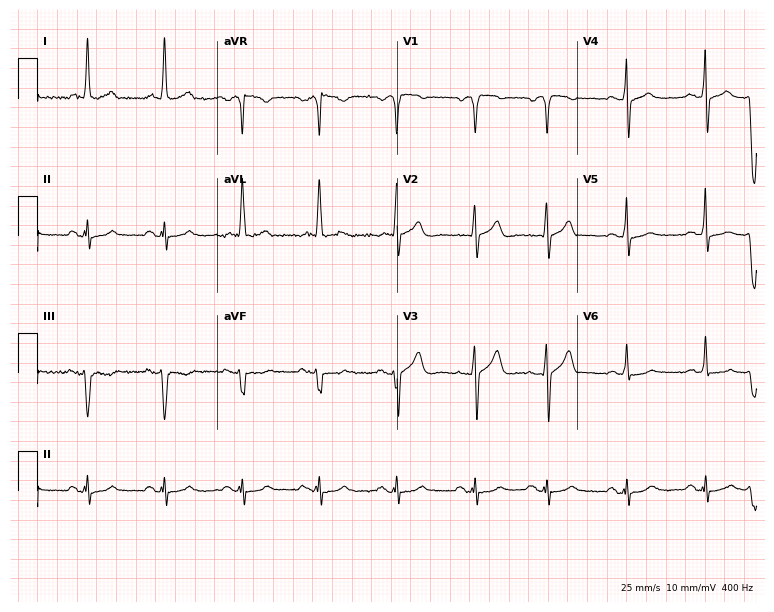
12-lead ECG (7.3-second recording at 400 Hz) from a 78-year-old man. Screened for six findings — first-degree AV block, right bundle branch block, left bundle branch block, sinus bradycardia, atrial fibrillation, sinus tachycardia — none is recorded.